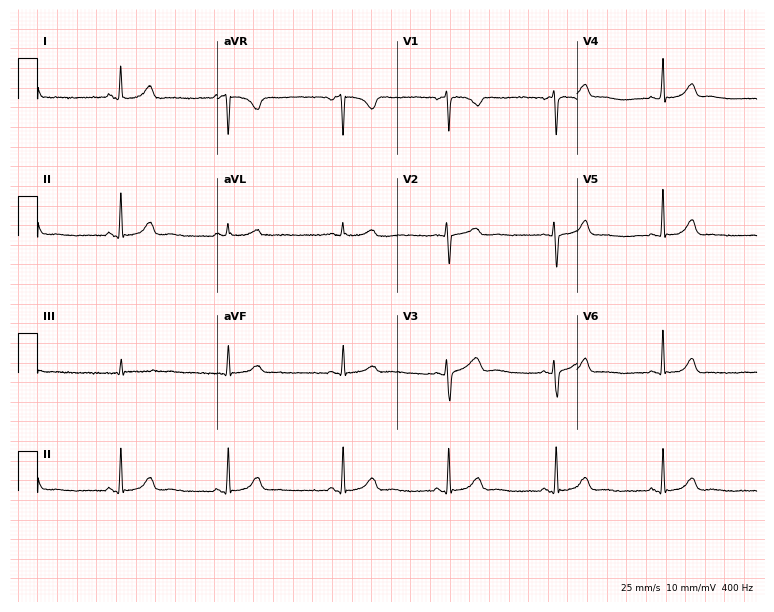
12-lead ECG from a woman, 27 years old. Labelled as a normal ECG.